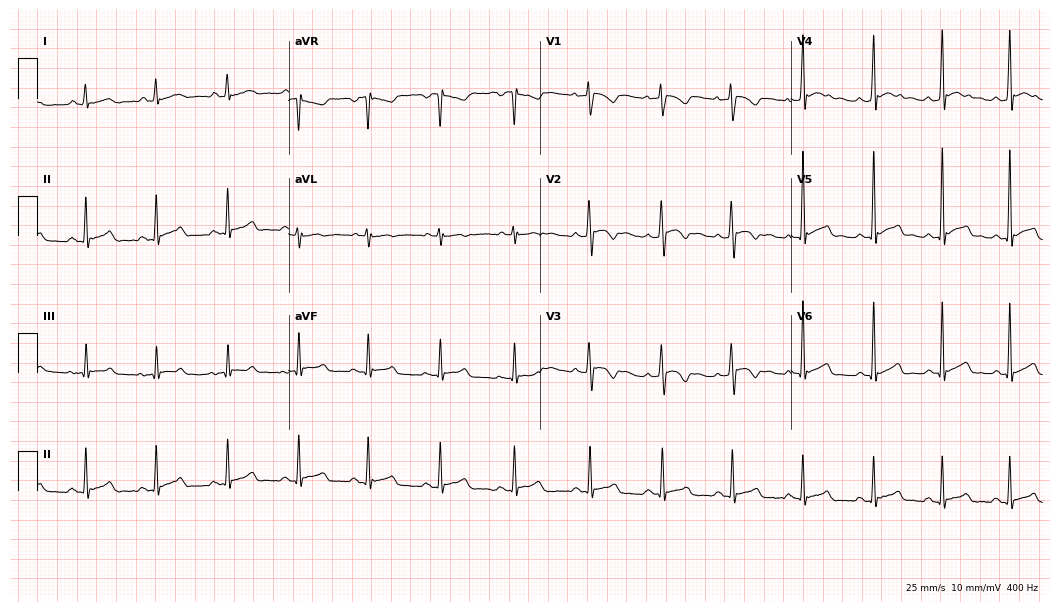
Electrocardiogram, a 31-year-old female patient. Of the six screened findings (first-degree AV block, right bundle branch block, left bundle branch block, sinus bradycardia, atrial fibrillation, sinus tachycardia), none is recorded. Findings outside these six are not listed.